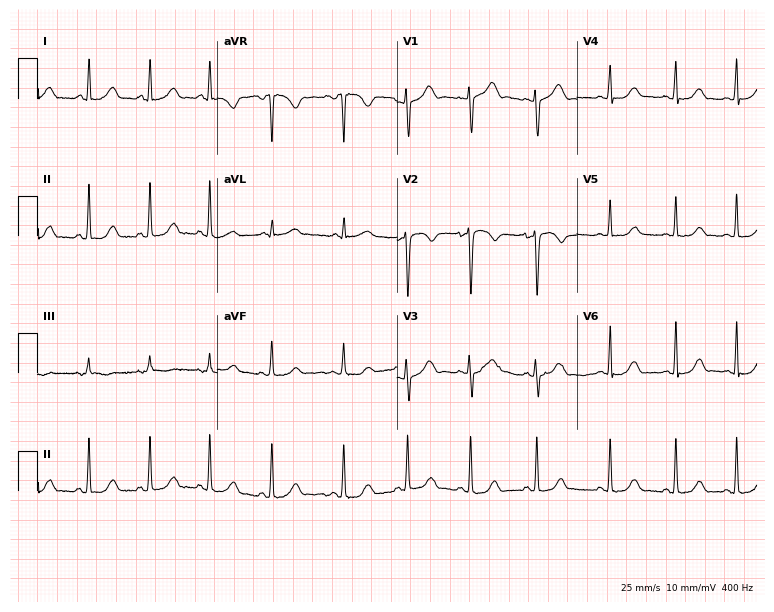
Standard 12-lead ECG recorded from a woman, 20 years old. Read as a normal ECG.